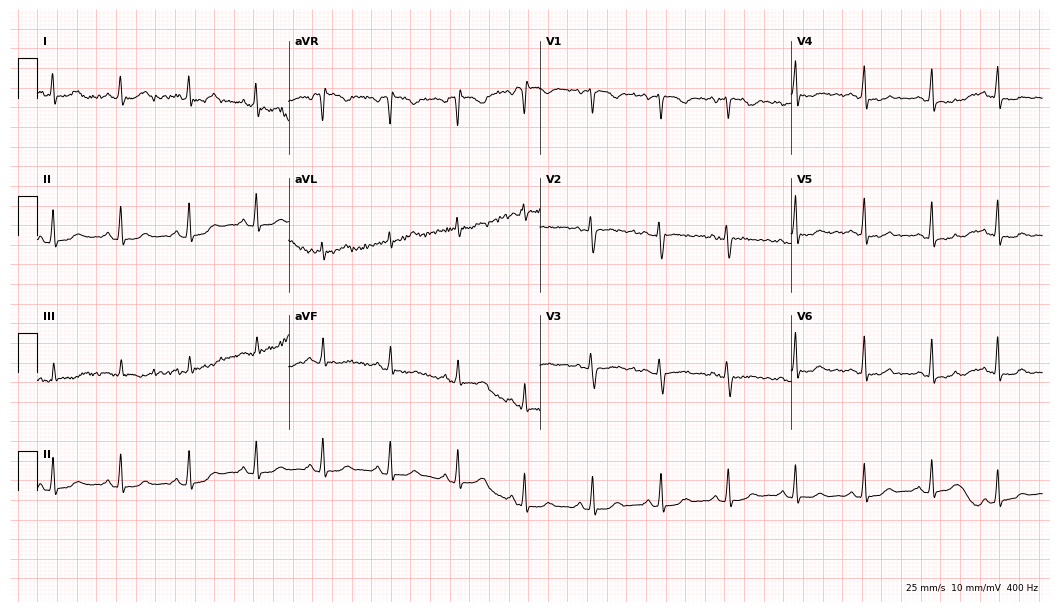
Standard 12-lead ECG recorded from a female patient, 50 years old (10.2-second recording at 400 Hz). None of these six findings is recorded: first-degree AV block, right bundle branch block (RBBB), left bundle branch block (LBBB), sinus bradycardia, atrial fibrillation (AF), sinus tachycardia. Findings outside these six are not listed.